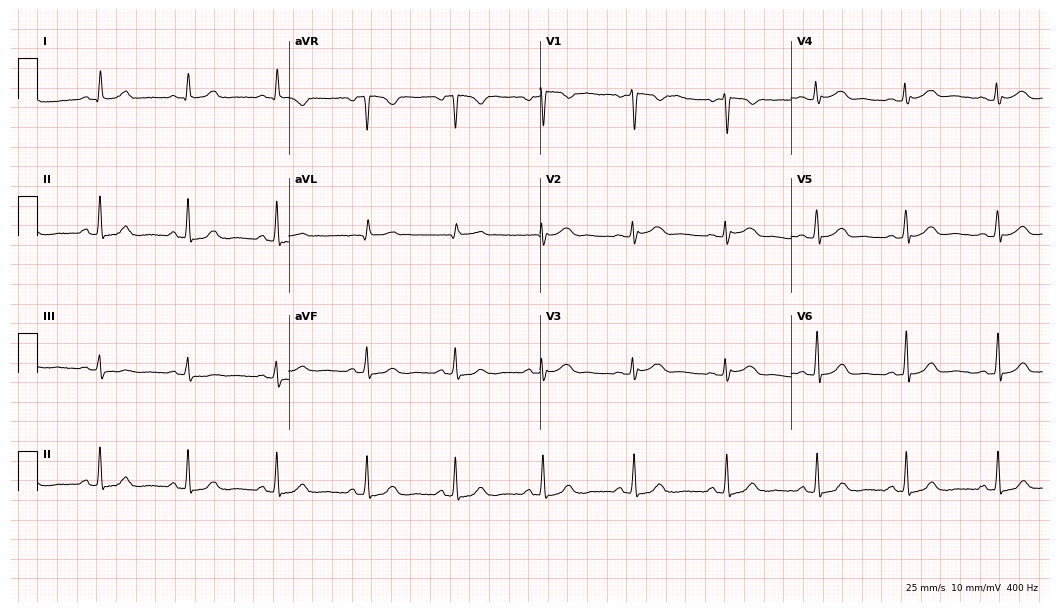
12-lead ECG (10.2-second recording at 400 Hz) from a woman, 51 years old. Labelled as a normal ECG.